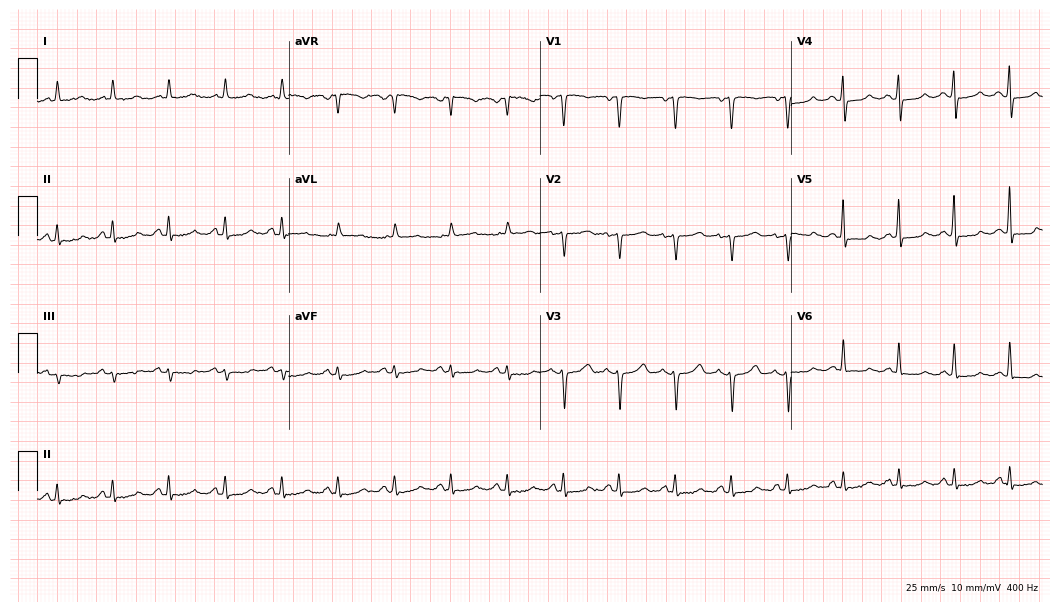
Standard 12-lead ECG recorded from a female, 59 years old. The tracing shows sinus tachycardia (a sinus rate of 100 beats per minute or more).